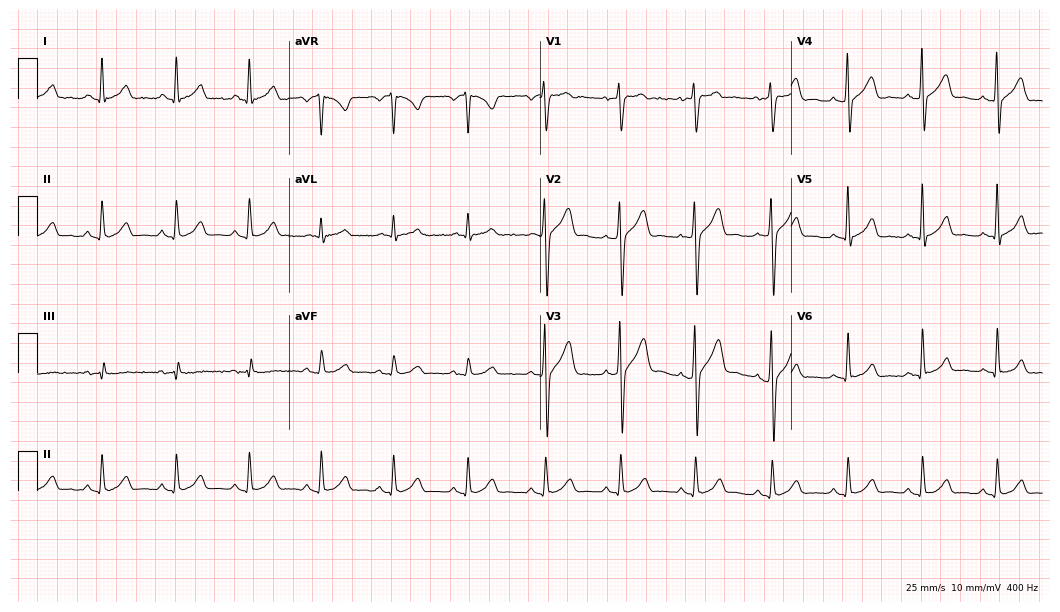
Standard 12-lead ECG recorded from a male patient, 30 years old. Read as a normal ECG.